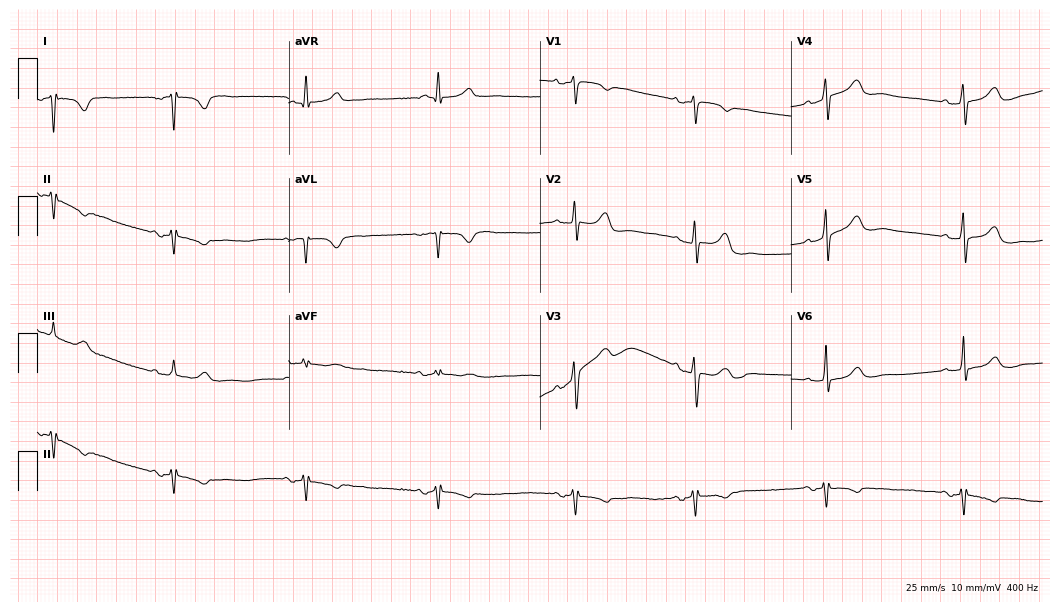
12-lead ECG (10.2-second recording at 400 Hz) from a female patient, 75 years old. Screened for six findings — first-degree AV block, right bundle branch block, left bundle branch block, sinus bradycardia, atrial fibrillation, sinus tachycardia — none is recorded.